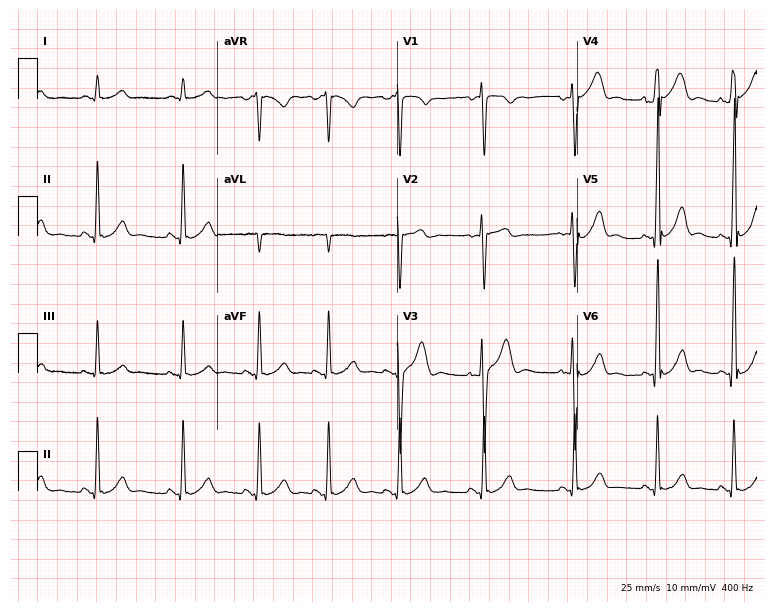
Resting 12-lead electrocardiogram (7.3-second recording at 400 Hz). Patient: a 39-year-old male. None of these six findings is recorded: first-degree AV block, right bundle branch block, left bundle branch block, sinus bradycardia, atrial fibrillation, sinus tachycardia. Only these six findings were labelled.